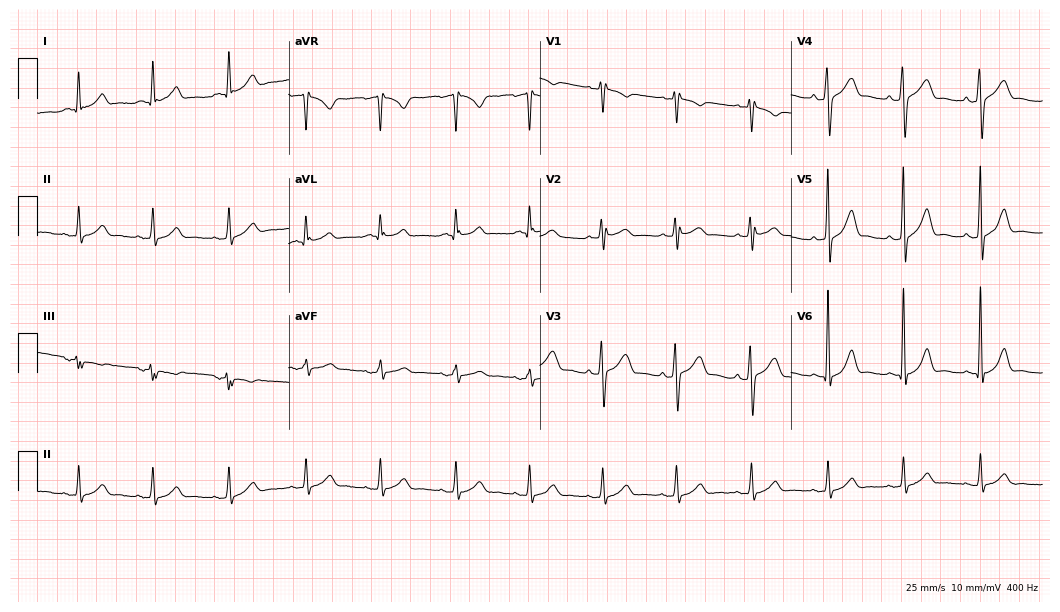
Electrocardiogram, a 56-year-old male. Overall reading on record: normal ECG.